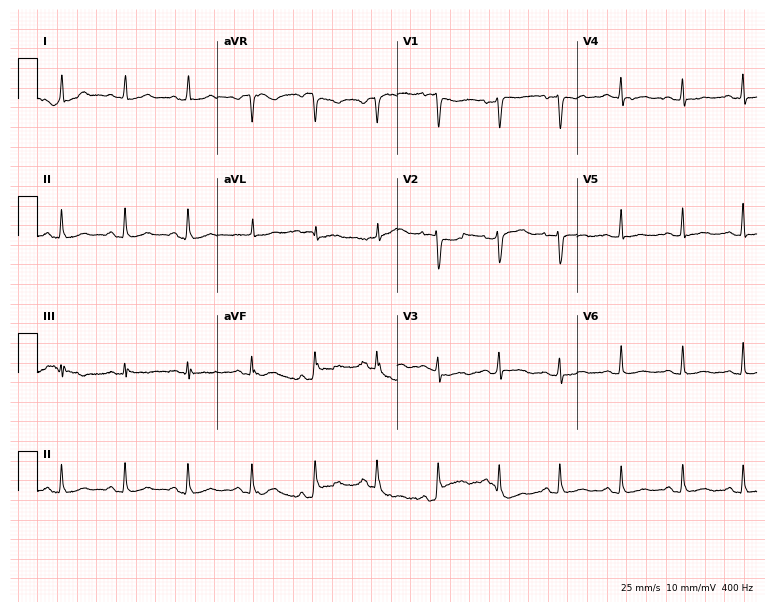
12-lead ECG from a 54-year-old female (7.3-second recording at 400 Hz). No first-degree AV block, right bundle branch block, left bundle branch block, sinus bradycardia, atrial fibrillation or sinus tachycardia recorded for this tracing.